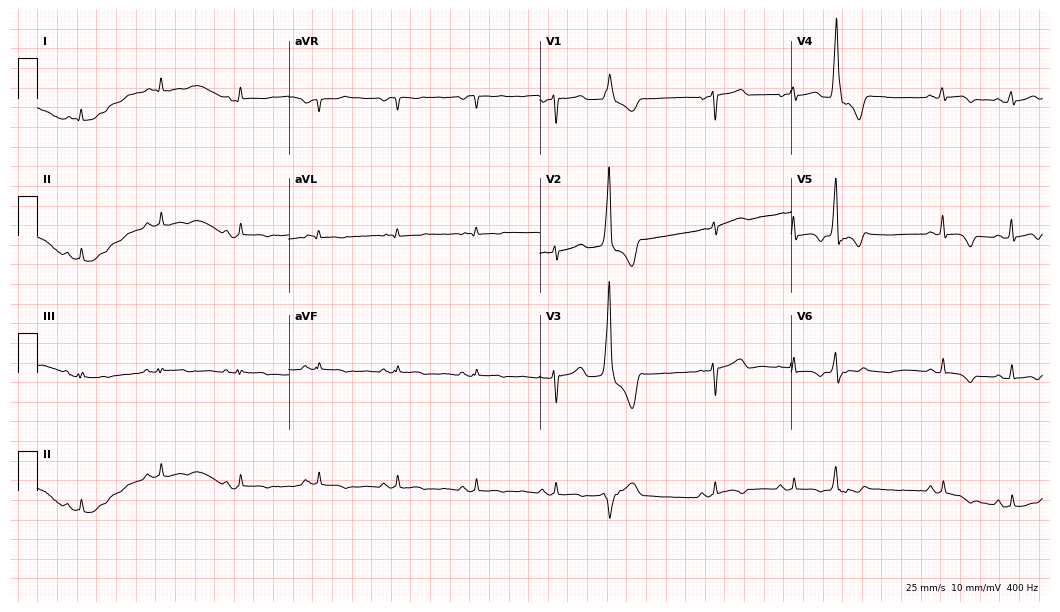
Electrocardiogram (10.2-second recording at 400 Hz), a 56-year-old female patient. Of the six screened findings (first-degree AV block, right bundle branch block (RBBB), left bundle branch block (LBBB), sinus bradycardia, atrial fibrillation (AF), sinus tachycardia), none is recorded.